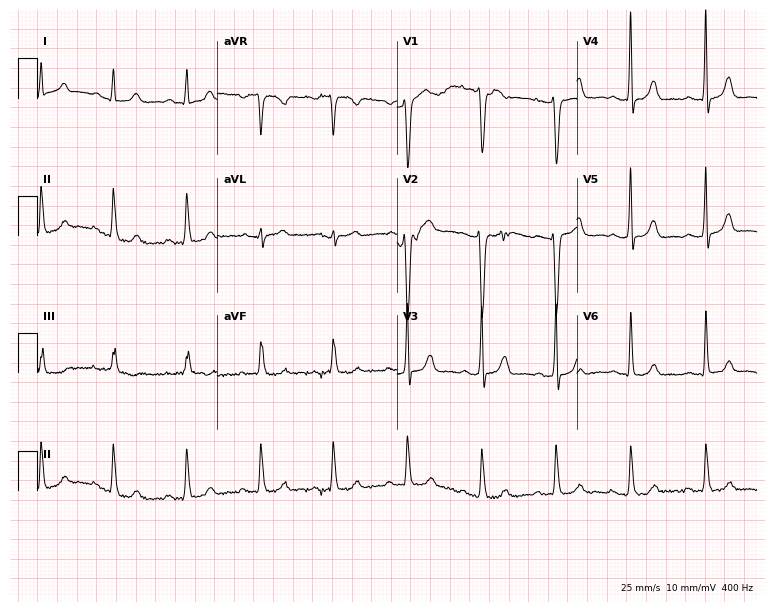
12-lead ECG from a female, 24 years old (7.3-second recording at 400 Hz). No first-degree AV block, right bundle branch block, left bundle branch block, sinus bradycardia, atrial fibrillation or sinus tachycardia recorded for this tracing. Findings outside these six are not listed.